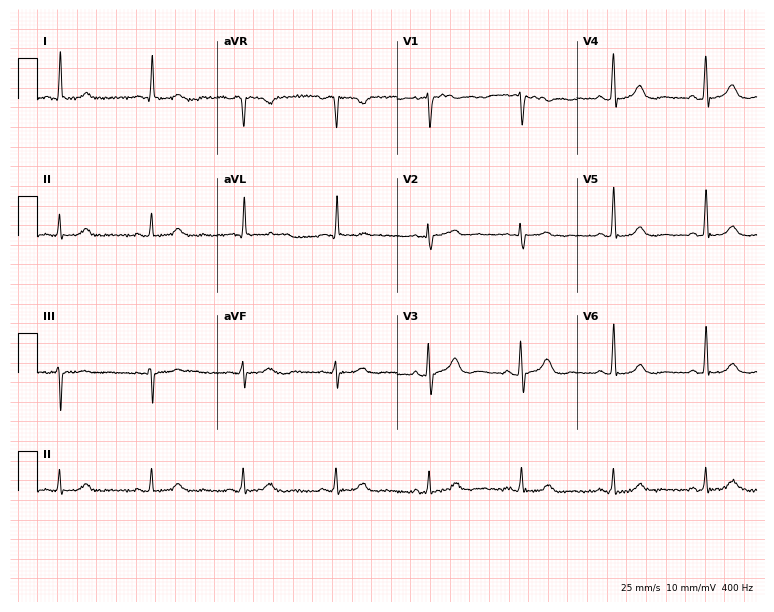
Resting 12-lead electrocardiogram (7.3-second recording at 400 Hz). Patient: a 74-year-old female. None of these six findings is recorded: first-degree AV block, right bundle branch block, left bundle branch block, sinus bradycardia, atrial fibrillation, sinus tachycardia.